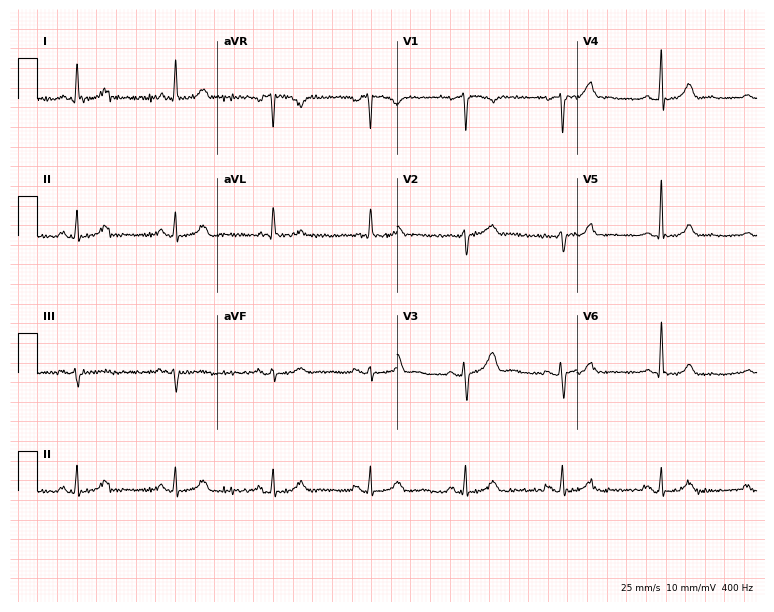
ECG — a 74-year-old man. Screened for six findings — first-degree AV block, right bundle branch block (RBBB), left bundle branch block (LBBB), sinus bradycardia, atrial fibrillation (AF), sinus tachycardia — none is recorded. Findings outside these six are not listed.